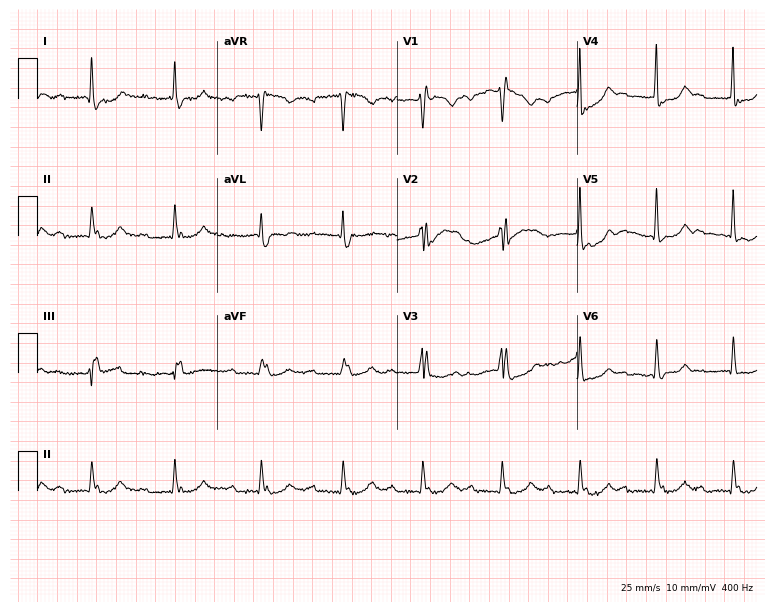
Electrocardiogram, a male, 81 years old. Of the six screened findings (first-degree AV block, right bundle branch block, left bundle branch block, sinus bradycardia, atrial fibrillation, sinus tachycardia), none is recorded. Other findings, if any, are not listed.